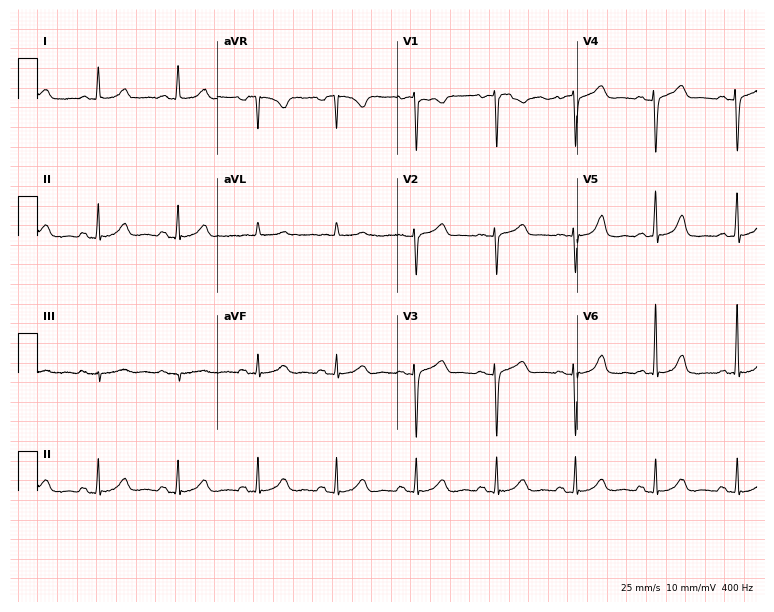
ECG — a 66-year-old female patient. Labelled as a normal ECG.